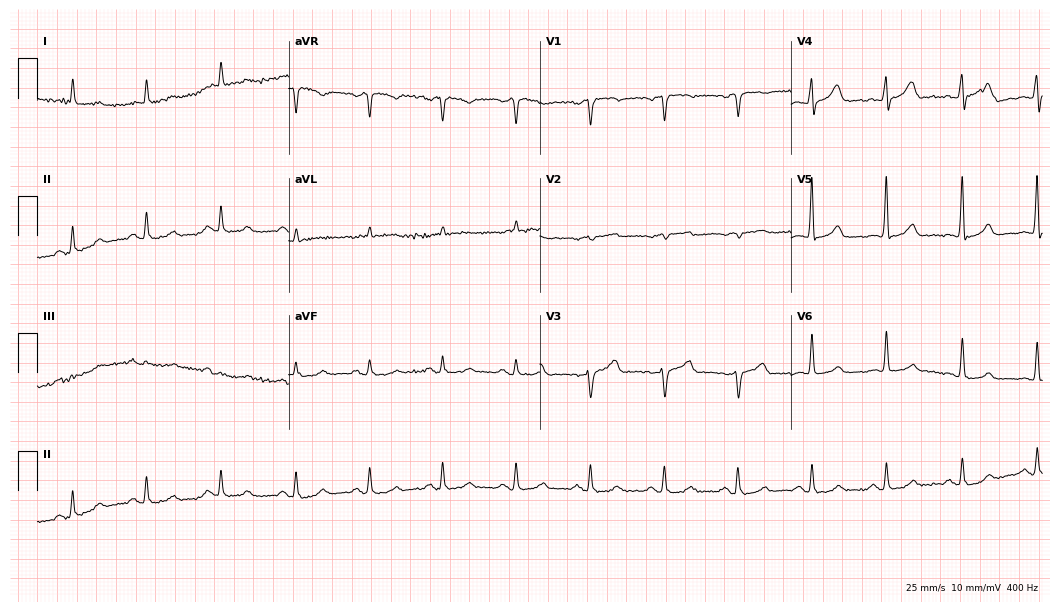
Standard 12-lead ECG recorded from a male patient, 69 years old (10.2-second recording at 400 Hz). None of these six findings is recorded: first-degree AV block, right bundle branch block, left bundle branch block, sinus bradycardia, atrial fibrillation, sinus tachycardia. Only these six findings were labelled.